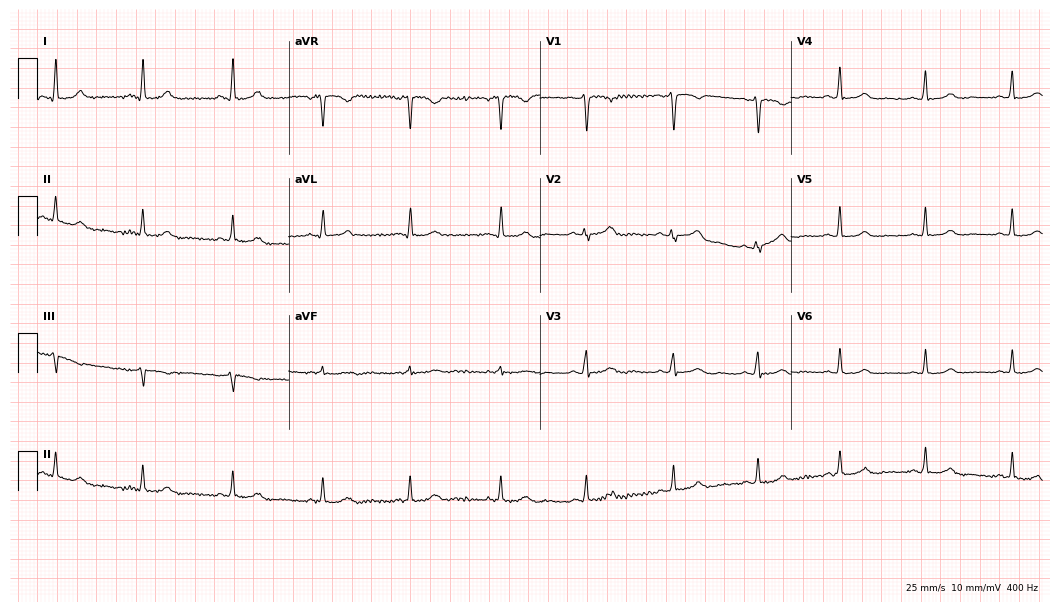
ECG (10.2-second recording at 400 Hz) — a 24-year-old female. Labelled as a normal ECG.